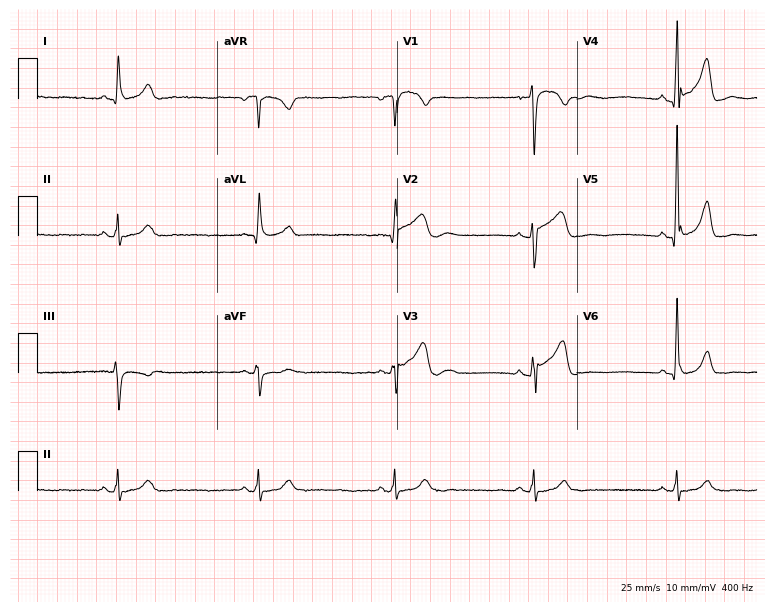
Electrocardiogram, a 63-year-old male patient. Interpretation includes sinus bradycardia (a sinus rate of 50 beats per minute or less).